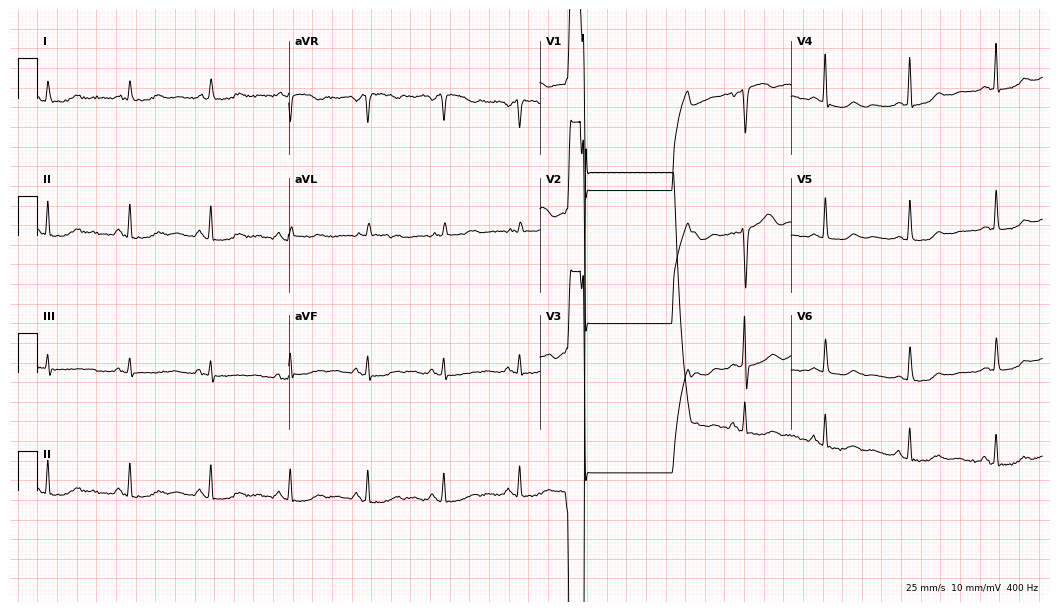
12-lead ECG from a female patient, 55 years old. No first-degree AV block, right bundle branch block, left bundle branch block, sinus bradycardia, atrial fibrillation or sinus tachycardia recorded for this tracing.